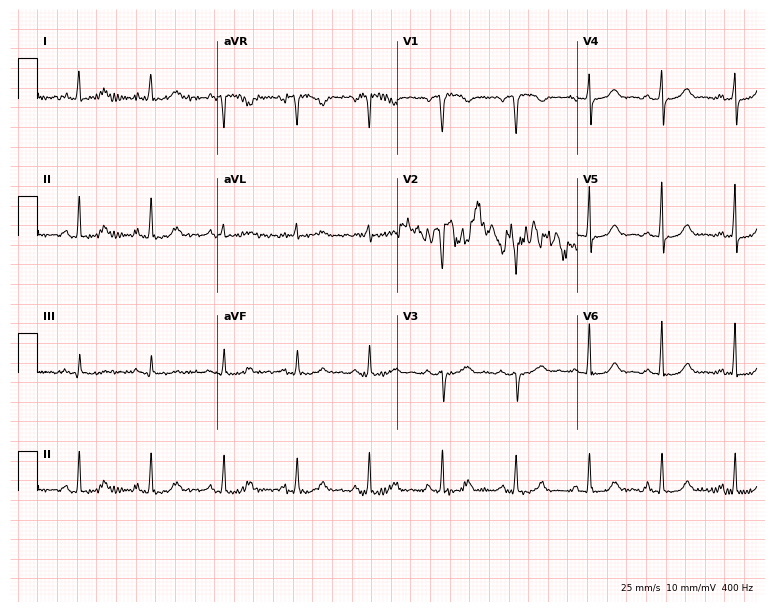
Electrocardiogram, a 51-year-old woman. Overall reading on record: normal ECG.